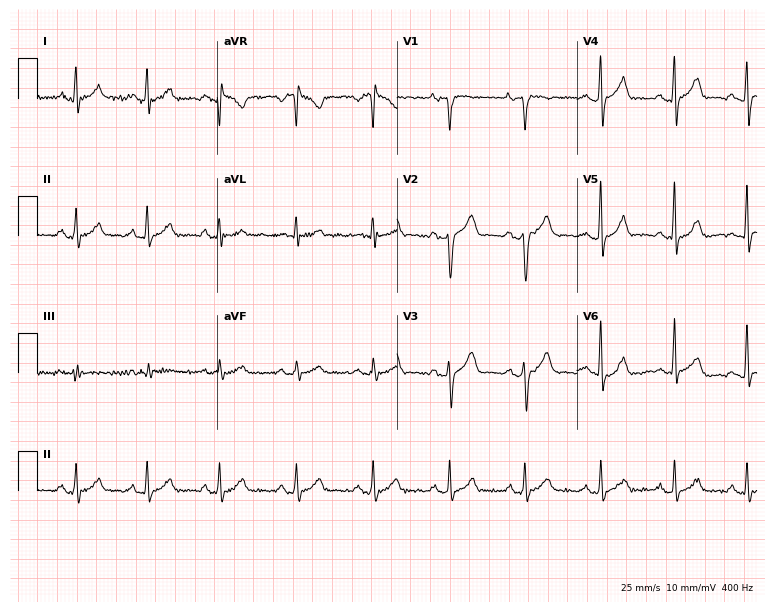
12-lead ECG from a female patient, 18 years old (7.3-second recording at 400 Hz). No first-degree AV block, right bundle branch block (RBBB), left bundle branch block (LBBB), sinus bradycardia, atrial fibrillation (AF) or sinus tachycardia recorded for this tracing. Only these six findings were labelled.